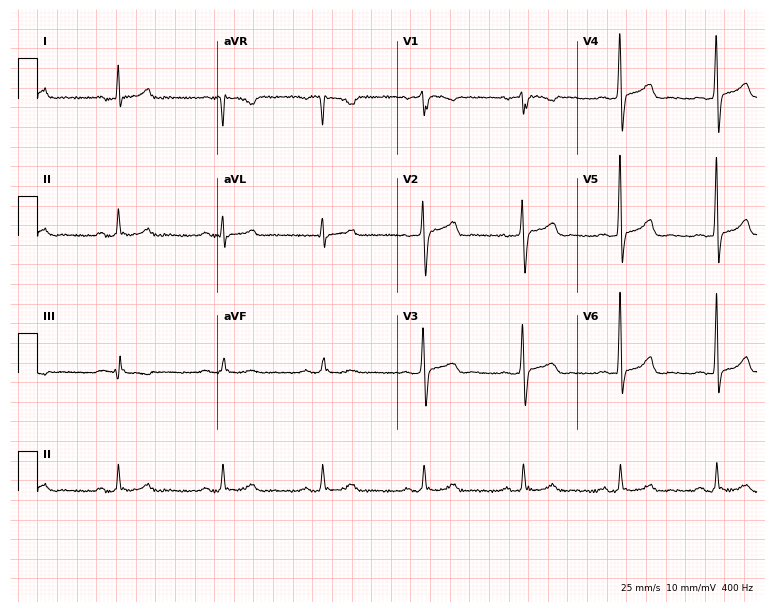
ECG (7.3-second recording at 400 Hz) — a male patient, 54 years old. Labelled as a normal ECG.